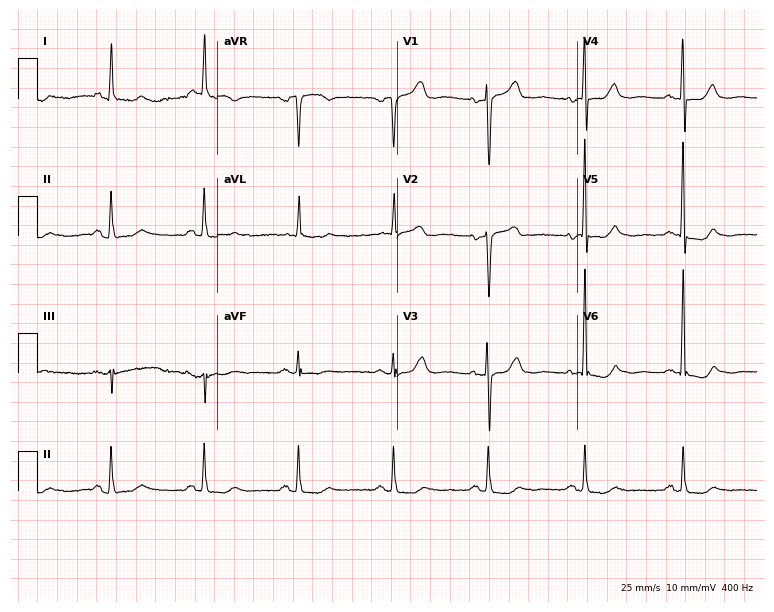
ECG (7.3-second recording at 400 Hz) — an 85-year-old woman. Screened for six findings — first-degree AV block, right bundle branch block, left bundle branch block, sinus bradycardia, atrial fibrillation, sinus tachycardia — none is recorded.